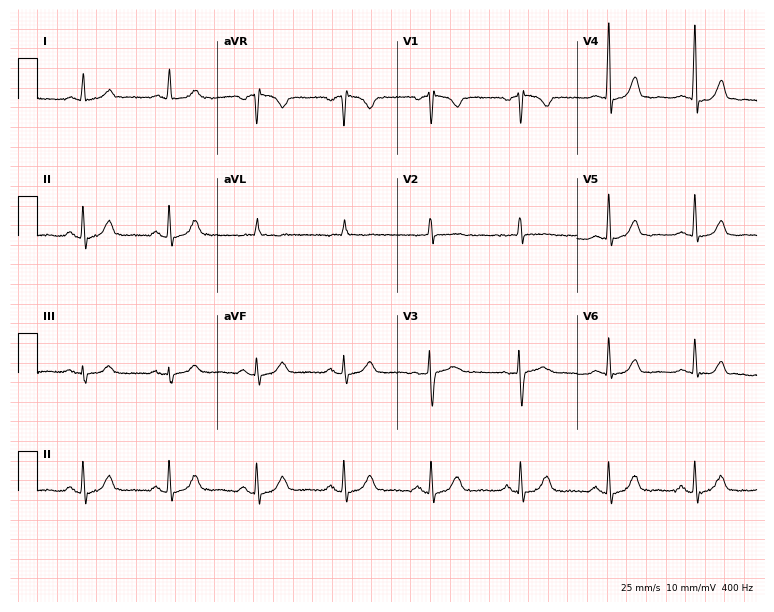
Resting 12-lead electrocardiogram (7.3-second recording at 400 Hz). Patient: a 58-year-old female. Read as a normal ECG.